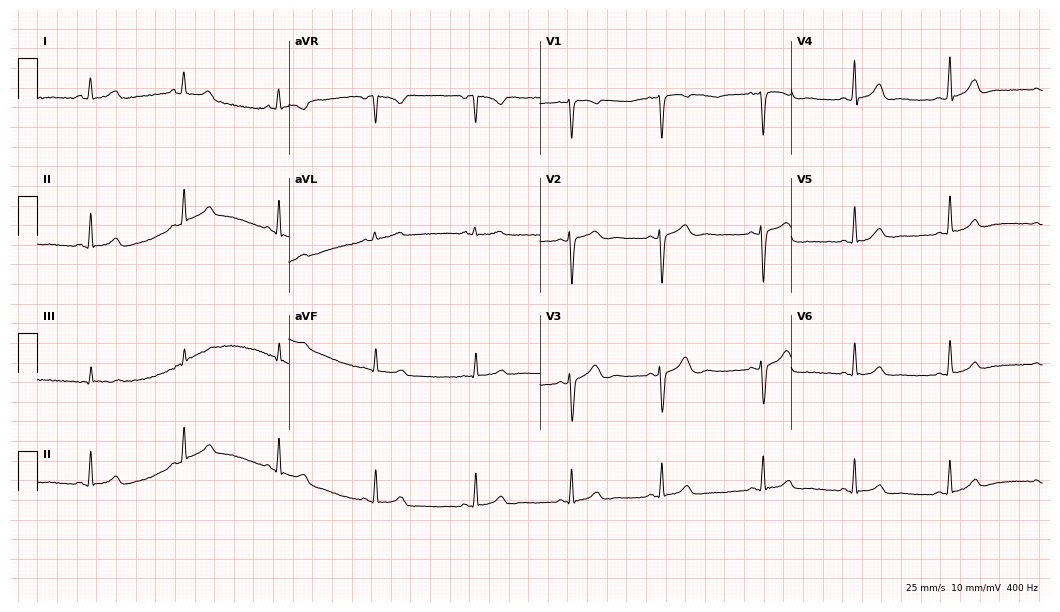
Electrocardiogram, a 26-year-old woman. Overall reading on record: normal ECG.